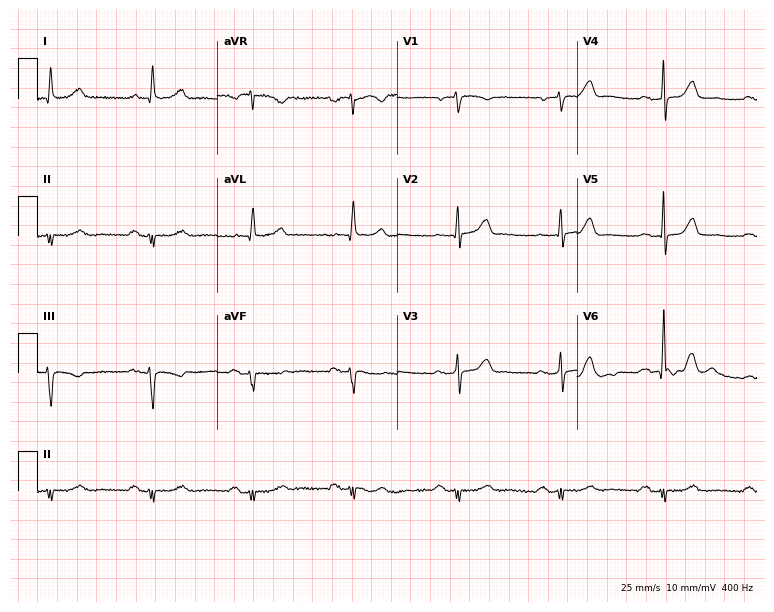
12-lead ECG from a 69-year-old male patient (7.3-second recording at 400 Hz). No first-degree AV block, right bundle branch block (RBBB), left bundle branch block (LBBB), sinus bradycardia, atrial fibrillation (AF) or sinus tachycardia recorded for this tracing. Other findings, if any, are not listed.